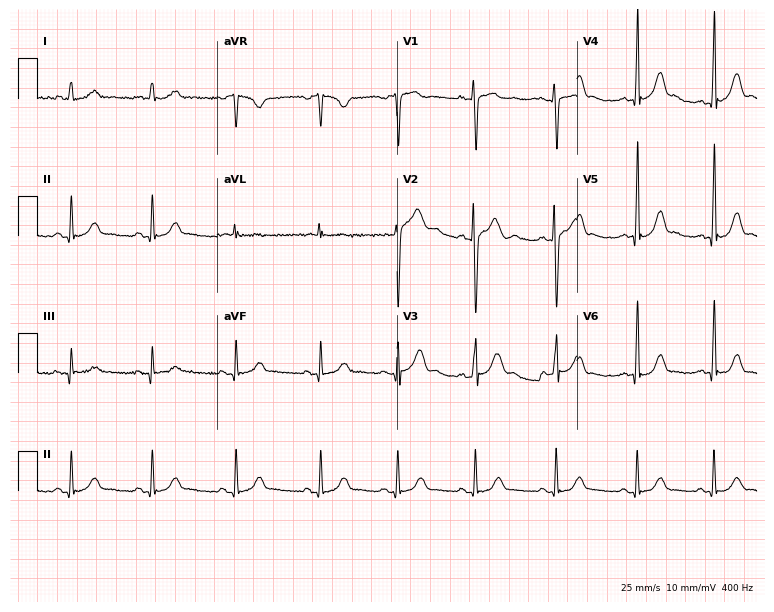
Standard 12-lead ECG recorded from a 21-year-old female patient (7.3-second recording at 400 Hz). Read as a normal ECG.